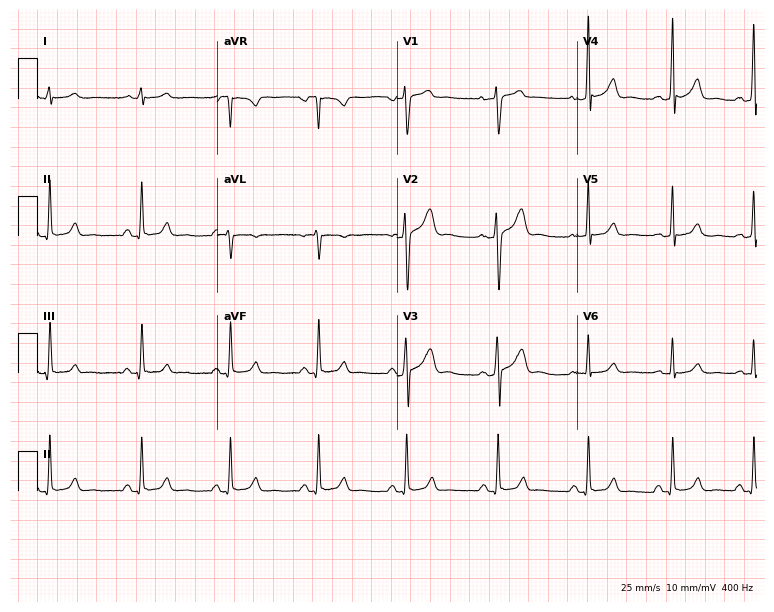
Standard 12-lead ECG recorded from a 22-year-old man. Read as a normal ECG.